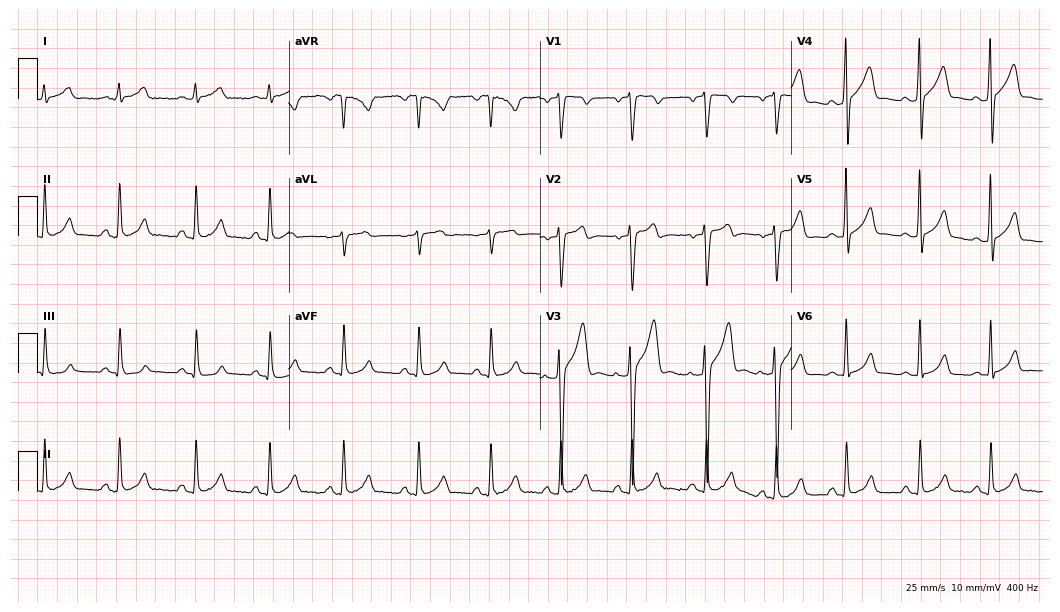
ECG — a man, 22 years old. Labelled as a normal ECG.